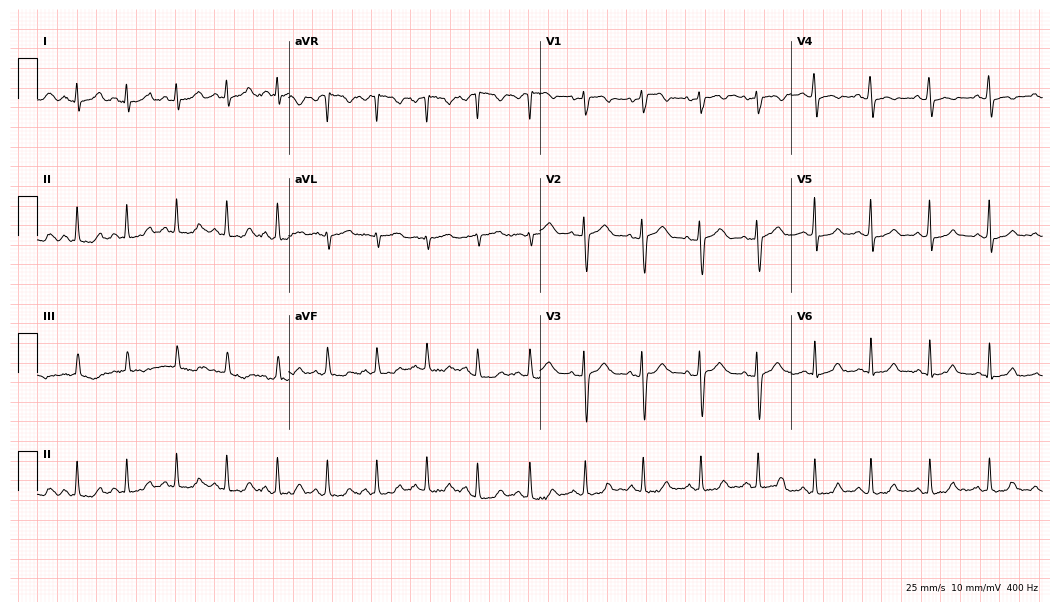
12-lead ECG from a 22-year-old woman. Shows sinus tachycardia (a sinus rate of 100 beats per minute or more).